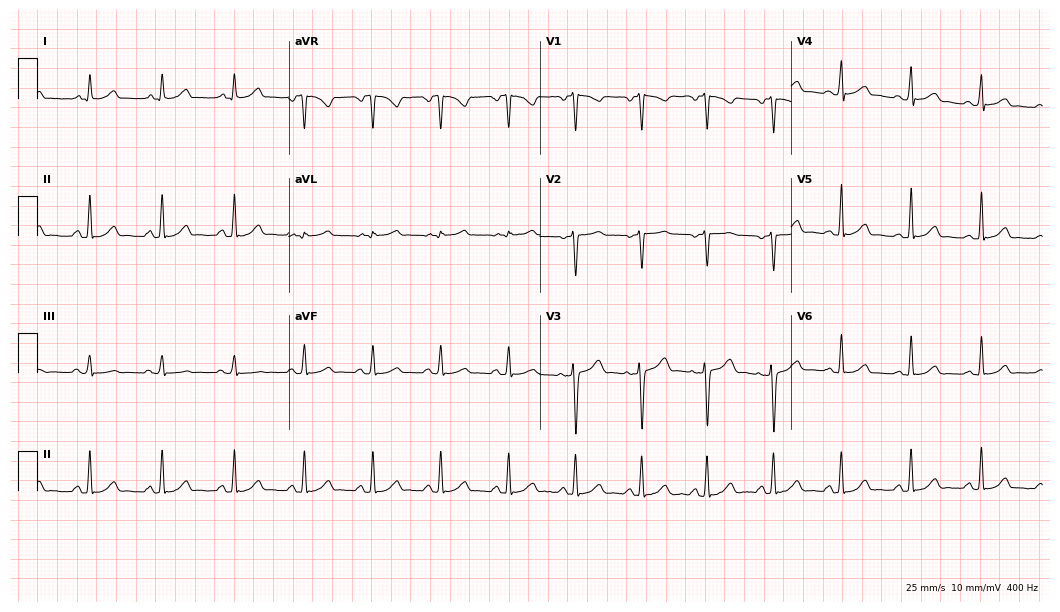
ECG (10.2-second recording at 400 Hz) — a 35-year-old woman. Screened for six findings — first-degree AV block, right bundle branch block, left bundle branch block, sinus bradycardia, atrial fibrillation, sinus tachycardia — none is recorded.